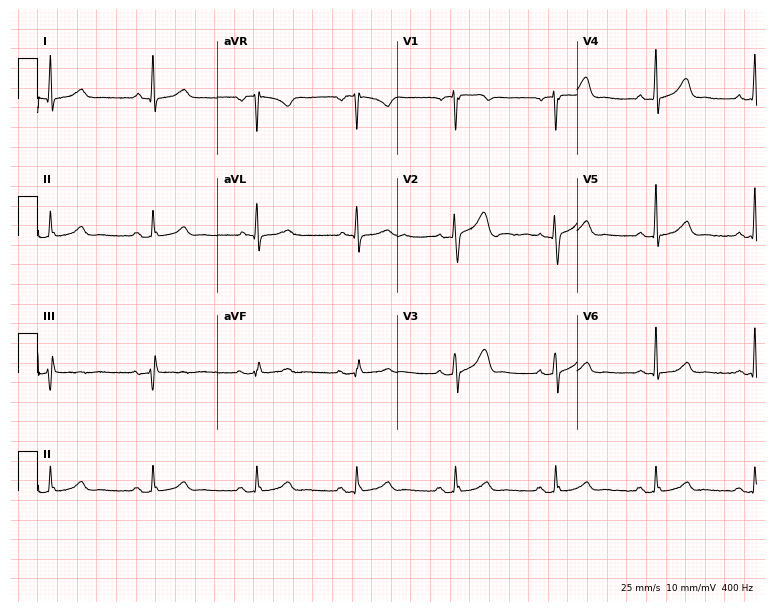
12-lead ECG from a 64-year-old male patient. Labelled as a normal ECG.